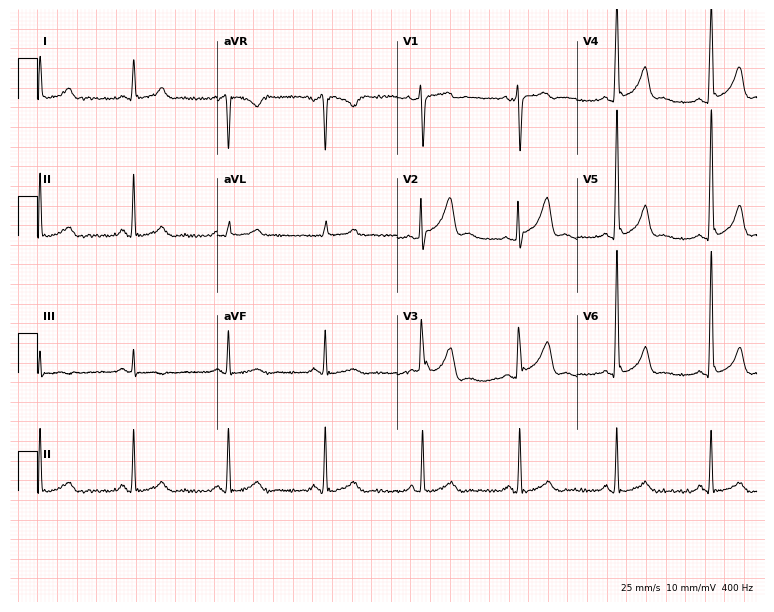
Resting 12-lead electrocardiogram (7.3-second recording at 400 Hz). Patient: a male, 39 years old. Read as a normal ECG.